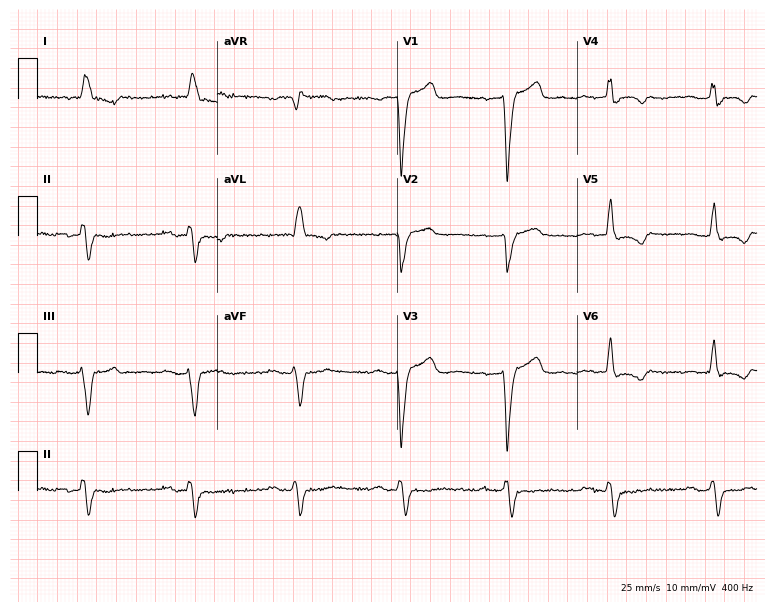
12-lead ECG from a male, 78 years old. Screened for six findings — first-degree AV block, right bundle branch block (RBBB), left bundle branch block (LBBB), sinus bradycardia, atrial fibrillation (AF), sinus tachycardia — none is recorded. Other findings, if any, are not listed.